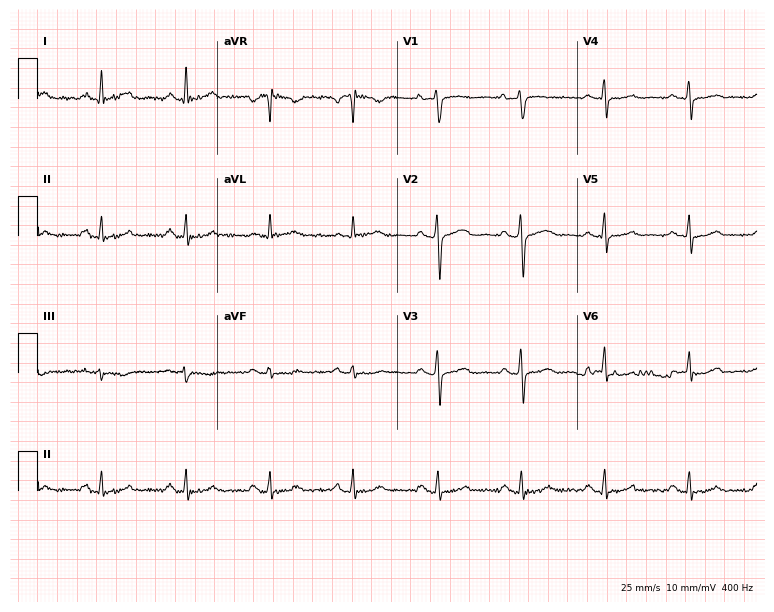
12-lead ECG (7.3-second recording at 400 Hz) from a male, 58 years old. Labelled as a normal ECG.